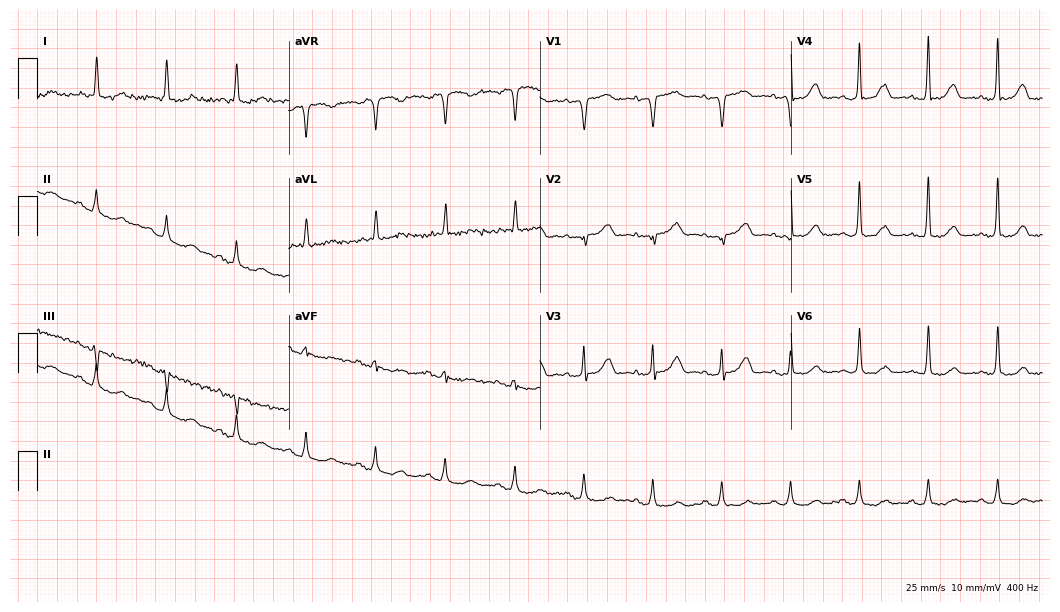
12-lead ECG from an 81-year-old woman. Labelled as a normal ECG.